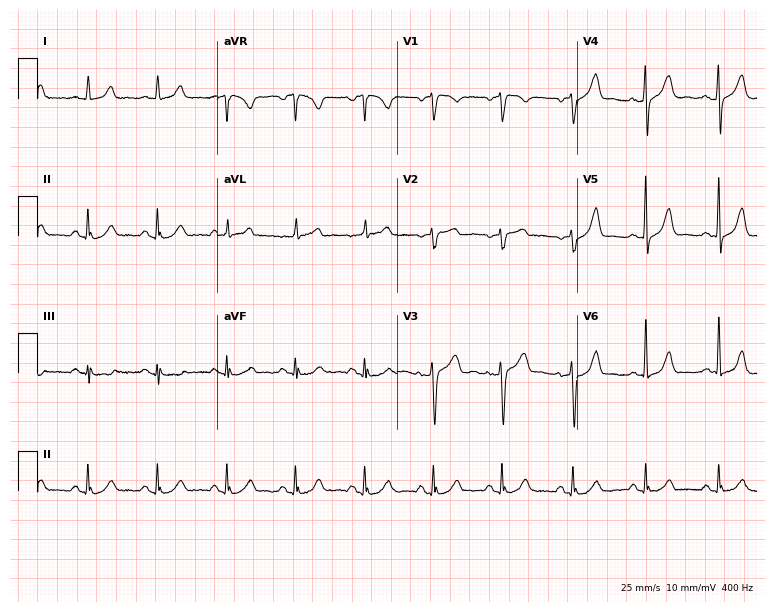
12-lead ECG (7.3-second recording at 400 Hz) from a 46-year-old female patient. Screened for six findings — first-degree AV block, right bundle branch block, left bundle branch block, sinus bradycardia, atrial fibrillation, sinus tachycardia — none is recorded. Findings outside these six are not listed.